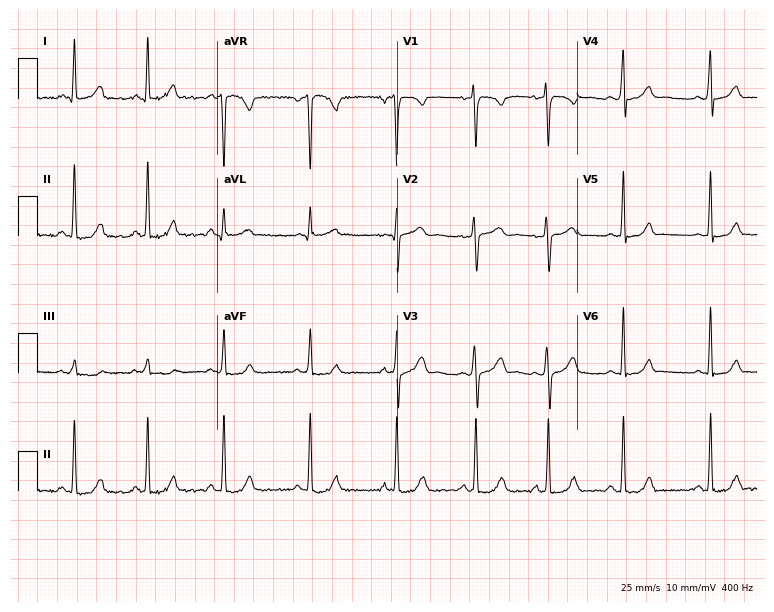
12-lead ECG from a female, 20 years old. Labelled as a normal ECG.